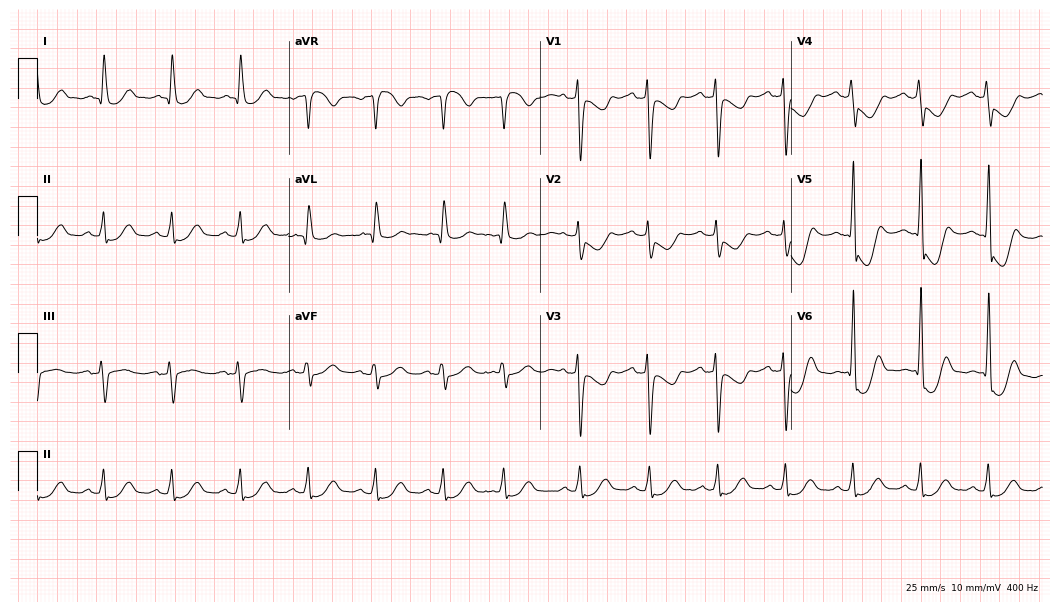
12-lead ECG from a 76-year-old female patient. No first-degree AV block, right bundle branch block, left bundle branch block, sinus bradycardia, atrial fibrillation or sinus tachycardia recorded for this tracing.